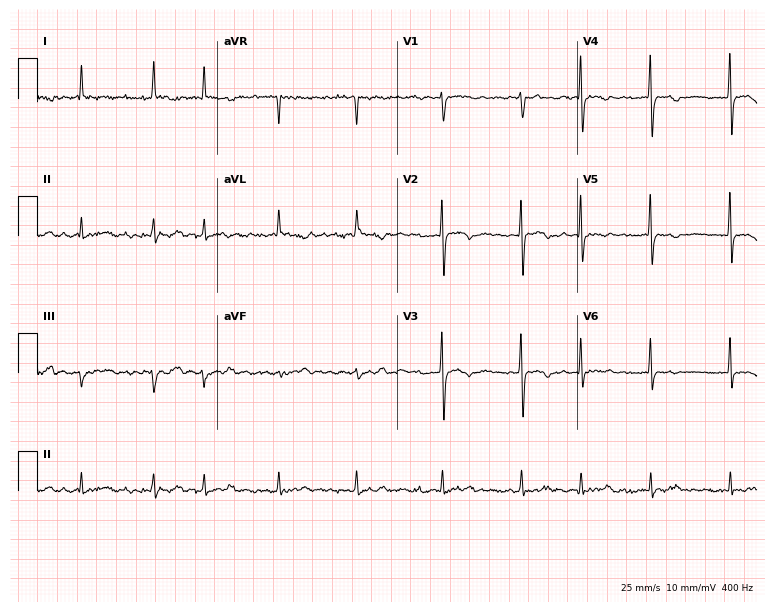
Resting 12-lead electrocardiogram. Patient: a 67-year-old female. The tracing shows atrial fibrillation.